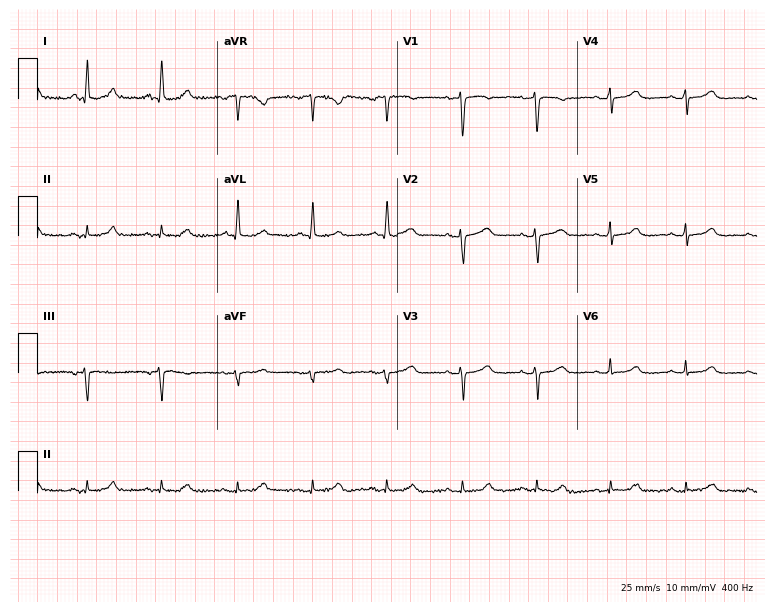
Standard 12-lead ECG recorded from a 68-year-old woman (7.3-second recording at 400 Hz). None of these six findings is recorded: first-degree AV block, right bundle branch block, left bundle branch block, sinus bradycardia, atrial fibrillation, sinus tachycardia.